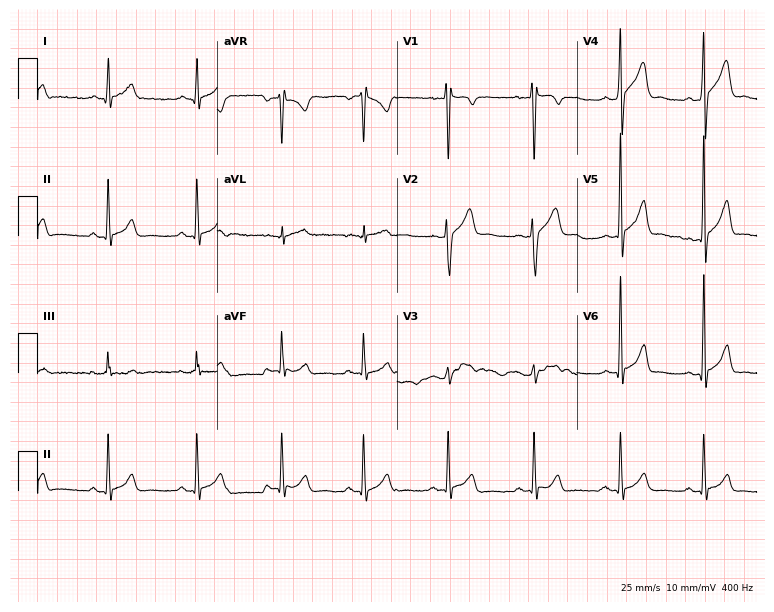
ECG — a 33-year-old man. Labelled as a normal ECG.